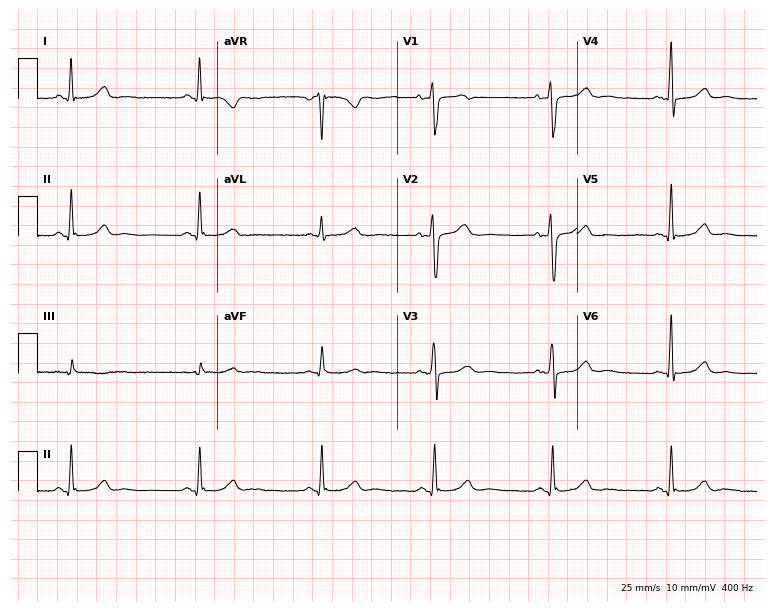
Electrocardiogram, a female, 43 years old. Overall reading on record: normal ECG.